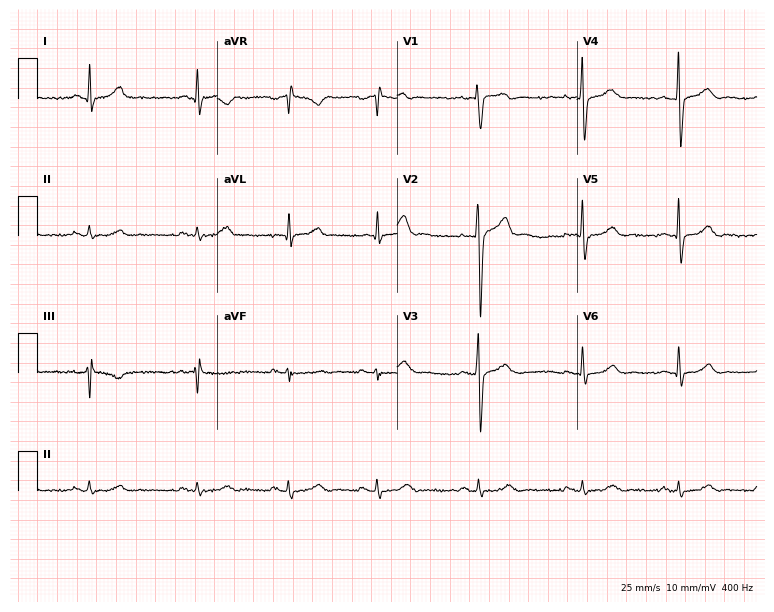
12-lead ECG from a male, 36 years old (7.3-second recording at 400 Hz). Recorded interpretation: within normal limits.